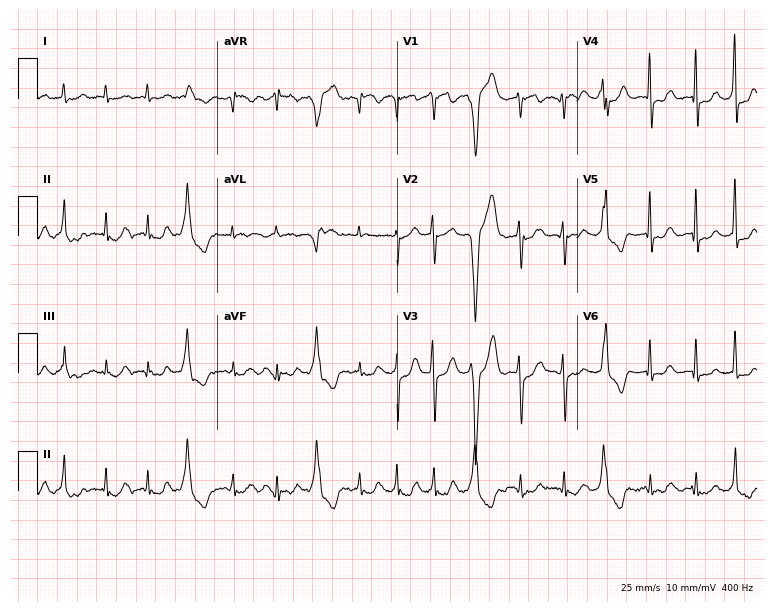
ECG (7.3-second recording at 400 Hz) — a male patient, 67 years old. Screened for six findings — first-degree AV block, right bundle branch block, left bundle branch block, sinus bradycardia, atrial fibrillation, sinus tachycardia — none is recorded.